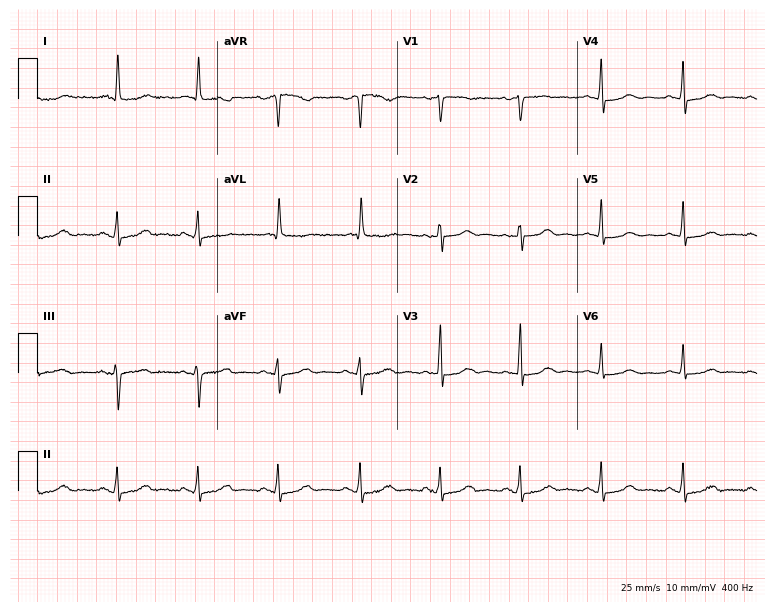
12-lead ECG from a woman, 80 years old (7.3-second recording at 400 Hz). Recorded interpretation: within normal limits.